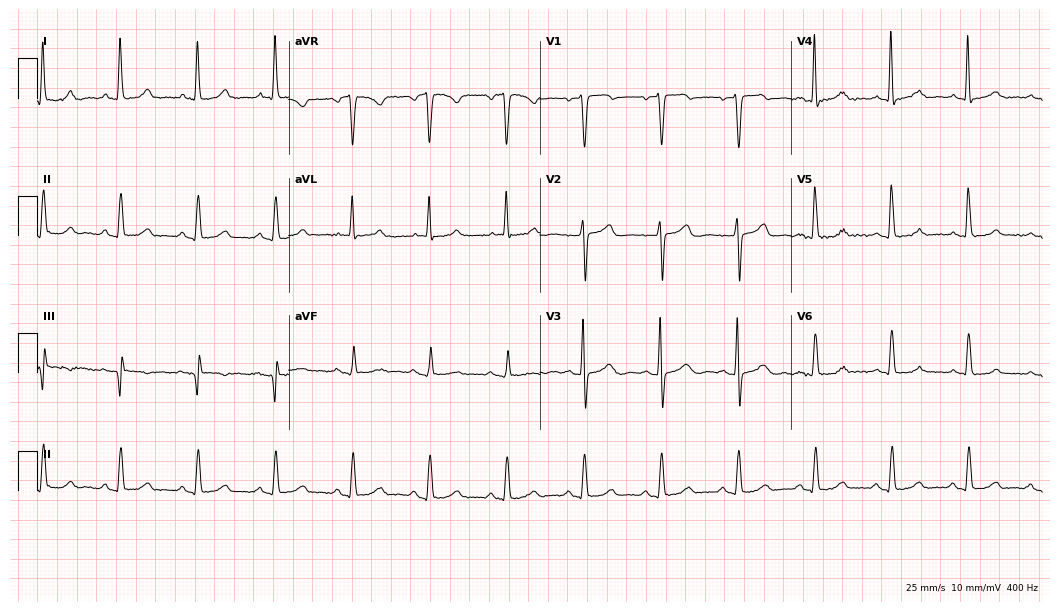
Resting 12-lead electrocardiogram. Patient: a 67-year-old female. Read as a normal ECG.